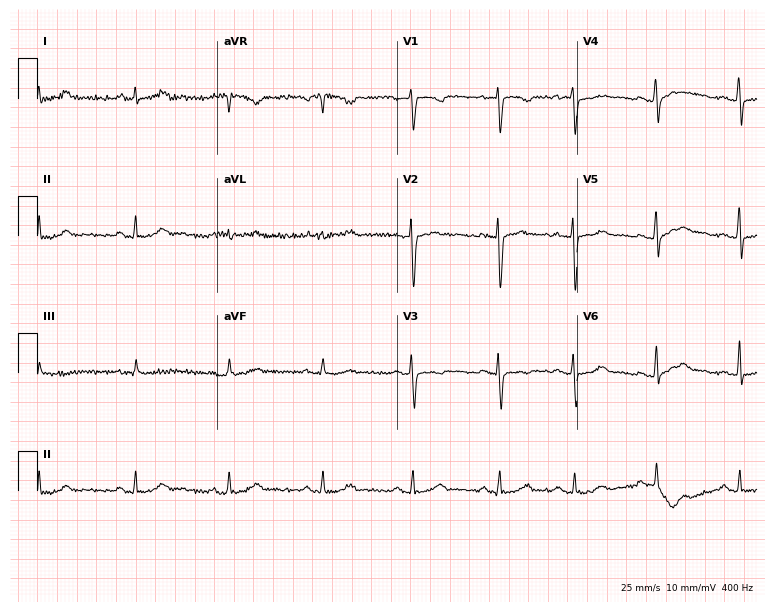
Standard 12-lead ECG recorded from a 43-year-old woman. Read as a normal ECG.